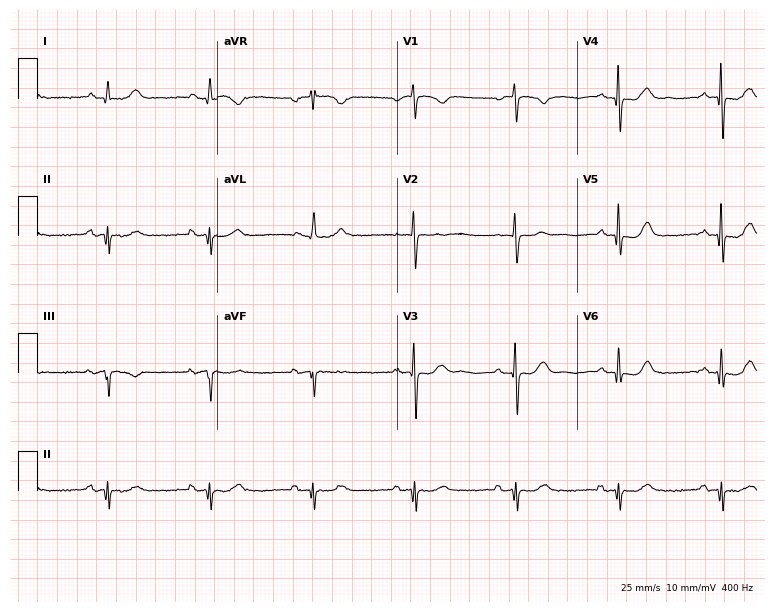
Resting 12-lead electrocardiogram. Patient: a male, 62 years old. Read as a normal ECG.